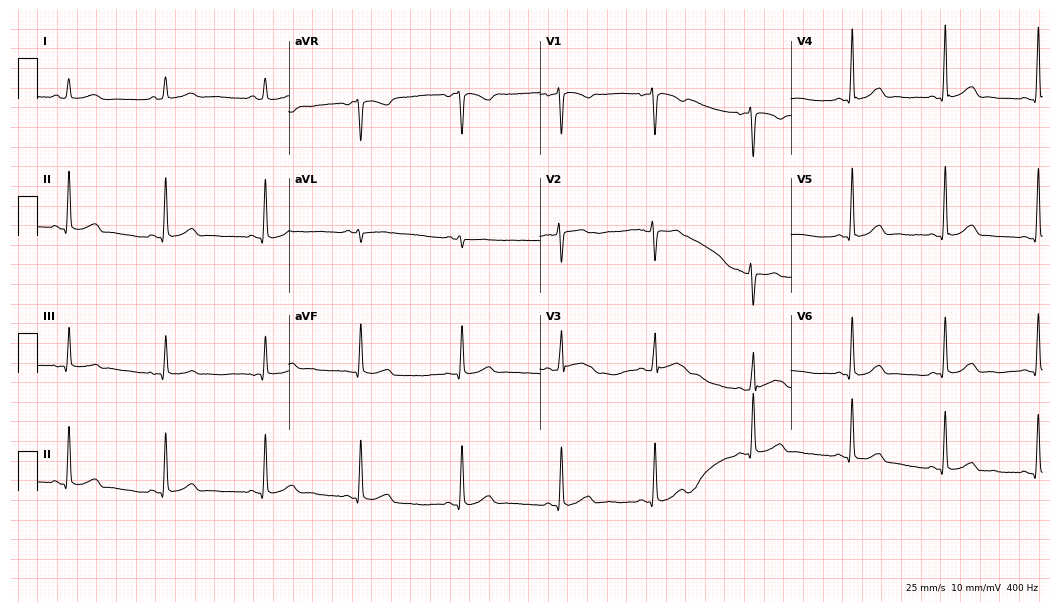
ECG (10.2-second recording at 400 Hz) — a woman, 44 years old. Labelled as a normal ECG.